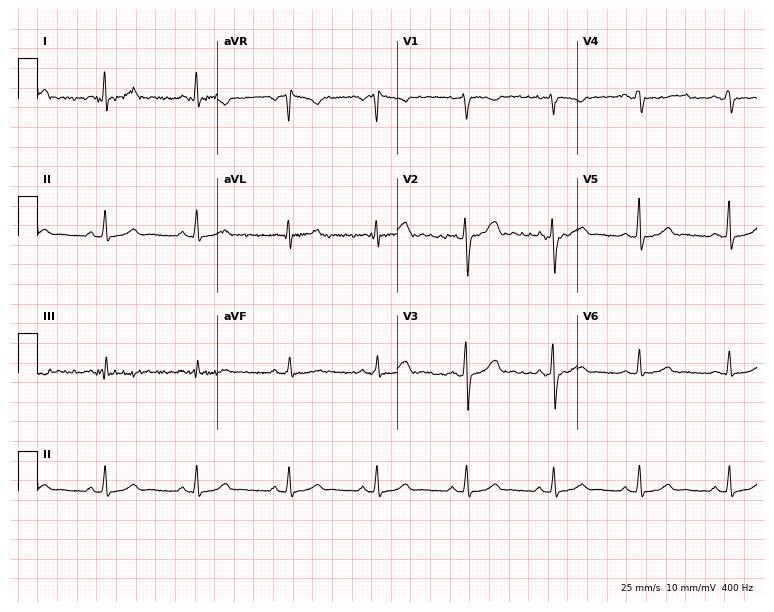
ECG (7.3-second recording at 400 Hz) — a female, 41 years old. Labelled as a normal ECG.